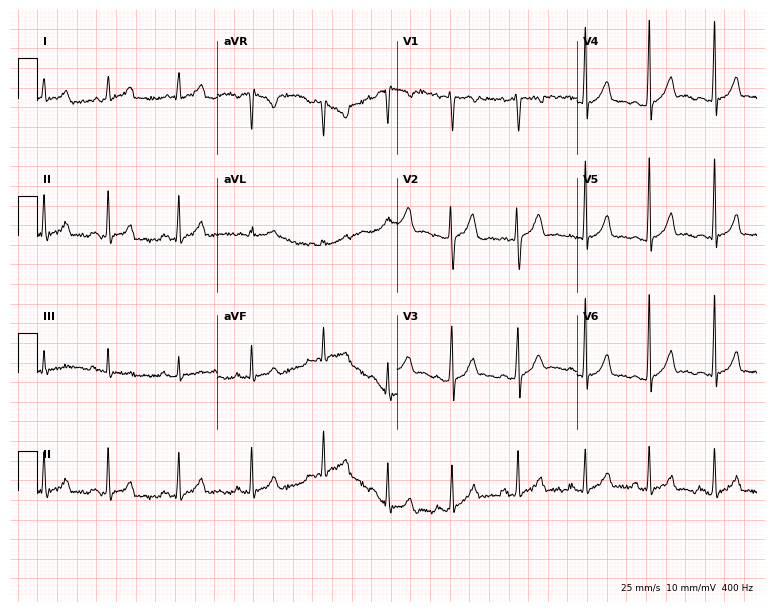
ECG (7.3-second recording at 400 Hz) — a male, 20 years old. Screened for six findings — first-degree AV block, right bundle branch block, left bundle branch block, sinus bradycardia, atrial fibrillation, sinus tachycardia — none is recorded. Findings outside these six are not listed.